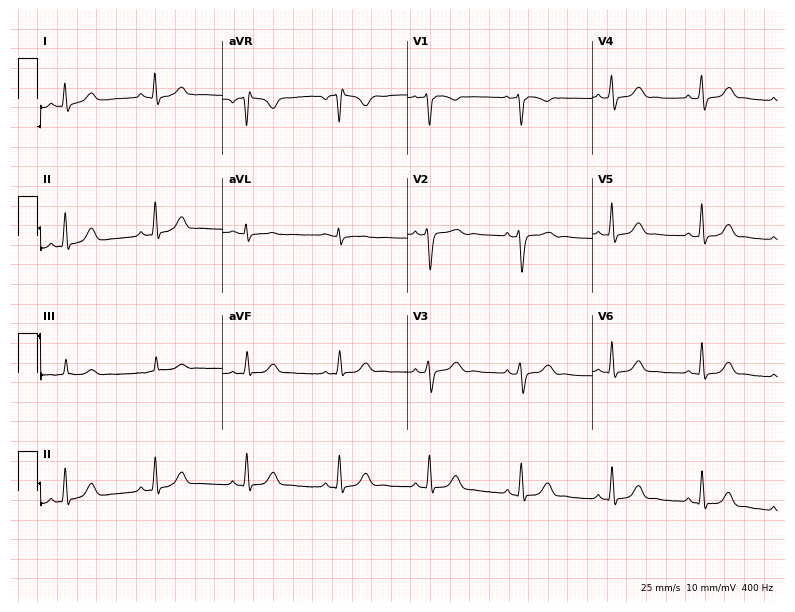
12-lead ECG from a woman, 37 years old. Recorded interpretation: within normal limits.